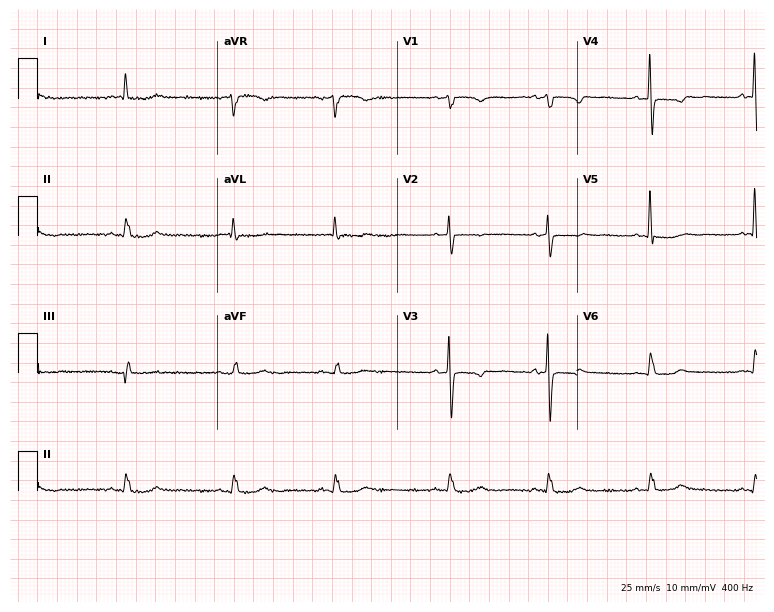
ECG (7.3-second recording at 400 Hz) — an 81-year-old female patient. Screened for six findings — first-degree AV block, right bundle branch block (RBBB), left bundle branch block (LBBB), sinus bradycardia, atrial fibrillation (AF), sinus tachycardia — none is recorded. Other findings, if any, are not listed.